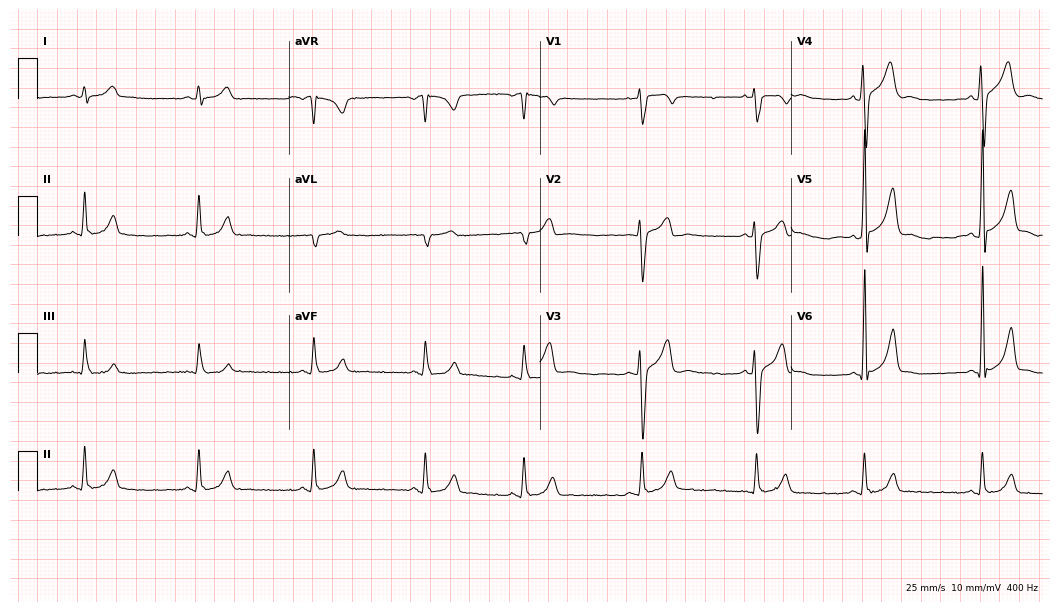
Resting 12-lead electrocardiogram. Patient: a 17-year-old male. None of these six findings is recorded: first-degree AV block, right bundle branch block, left bundle branch block, sinus bradycardia, atrial fibrillation, sinus tachycardia.